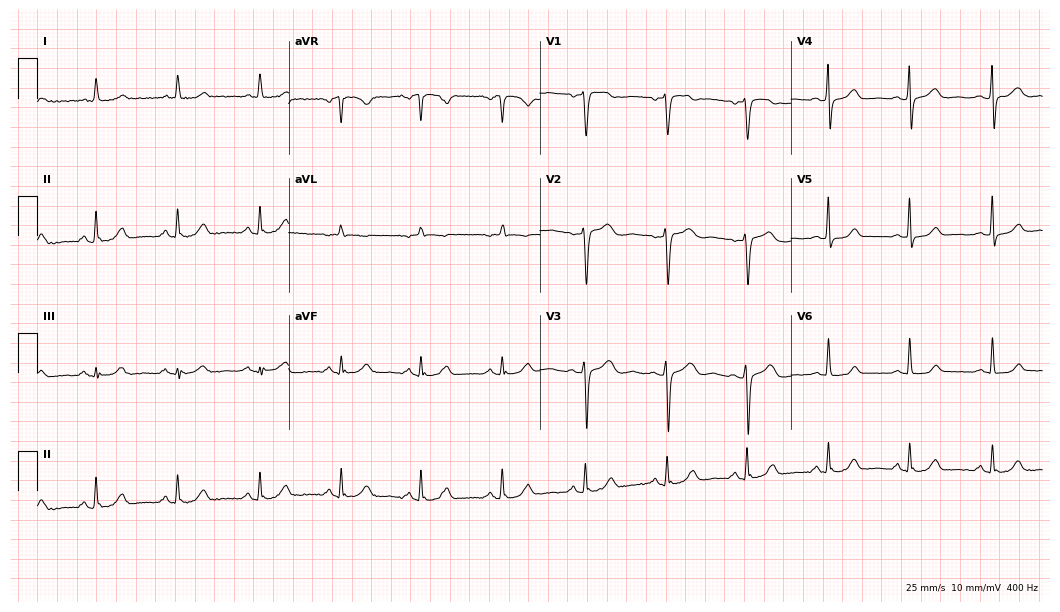
Resting 12-lead electrocardiogram (10.2-second recording at 400 Hz). Patient: a female, 55 years old. Read as a normal ECG.